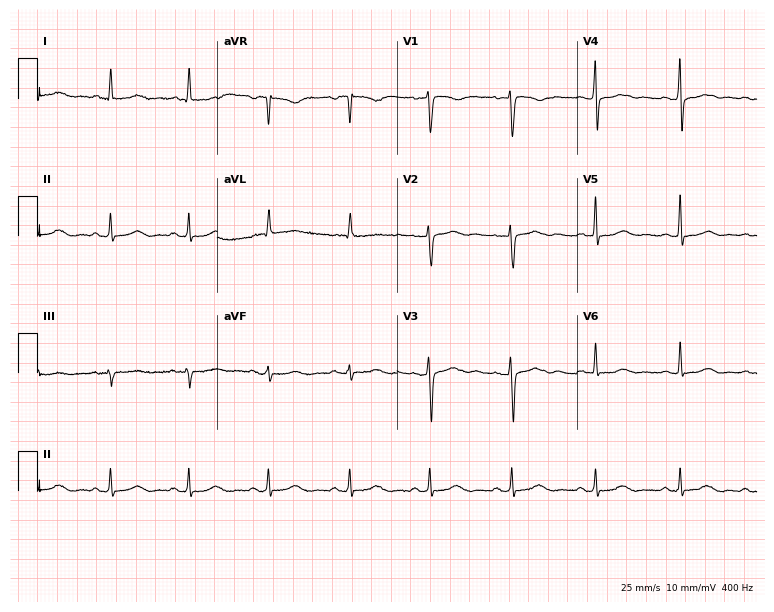
ECG (7.3-second recording at 400 Hz) — a 53-year-old female patient. Labelled as a normal ECG.